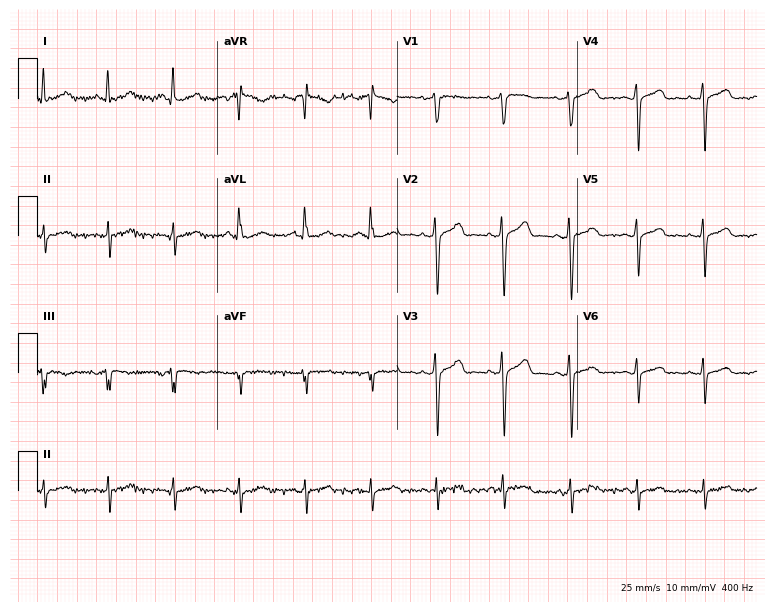
ECG — a 41-year-old female. Screened for six findings — first-degree AV block, right bundle branch block (RBBB), left bundle branch block (LBBB), sinus bradycardia, atrial fibrillation (AF), sinus tachycardia — none is recorded.